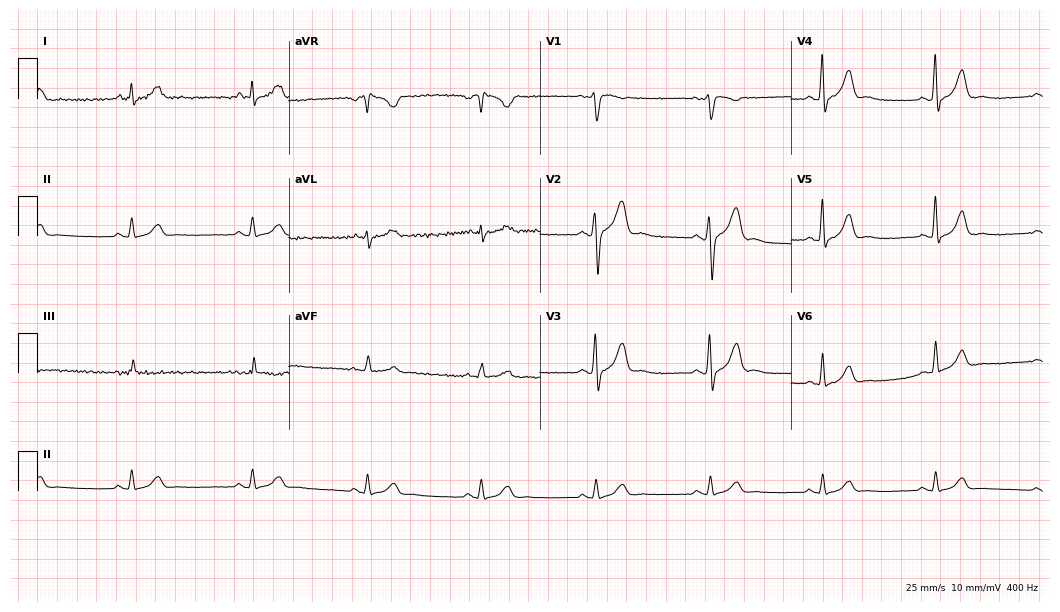
12-lead ECG from a male patient, 33 years old (10.2-second recording at 400 Hz). No first-degree AV block, right bundle branch block (RBBB), left bundle branch block (LBBB), sinus bradycardia, atrial fibrillation (AF) or sinus tachycardia recorded for this tracing.